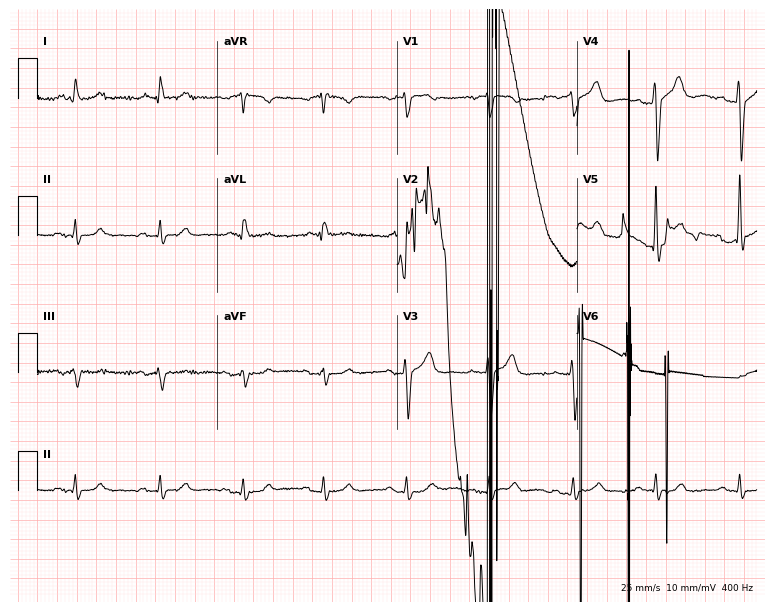
12-lead ECG from a man, 82 years old. No first-degree AV block, right bundle branch block (RBBB), left bundle branch block (LBBB), sinus bradycardia, atrial fibrillation (AF) or sinus tachycardia recorded for this tracing. Only these six findings were labelled.